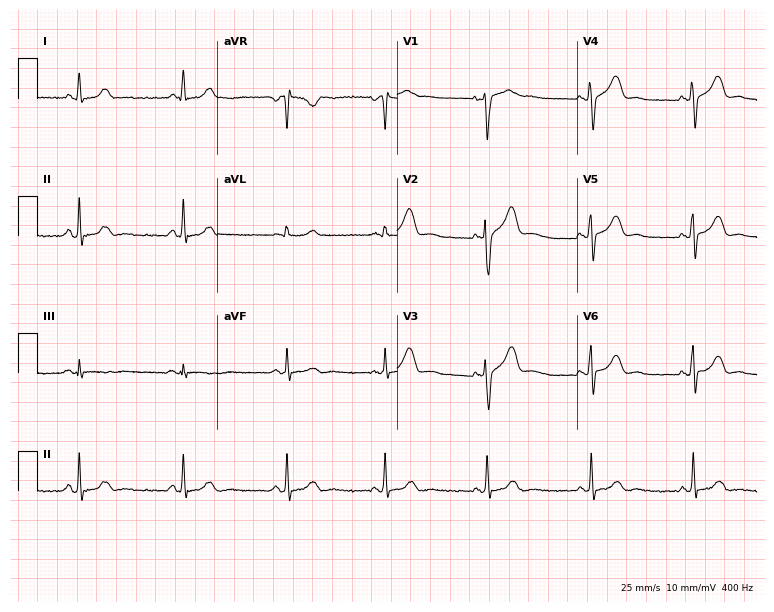
12-lead ECG from a woman, 47 years old. Labelled as a normal ECG.